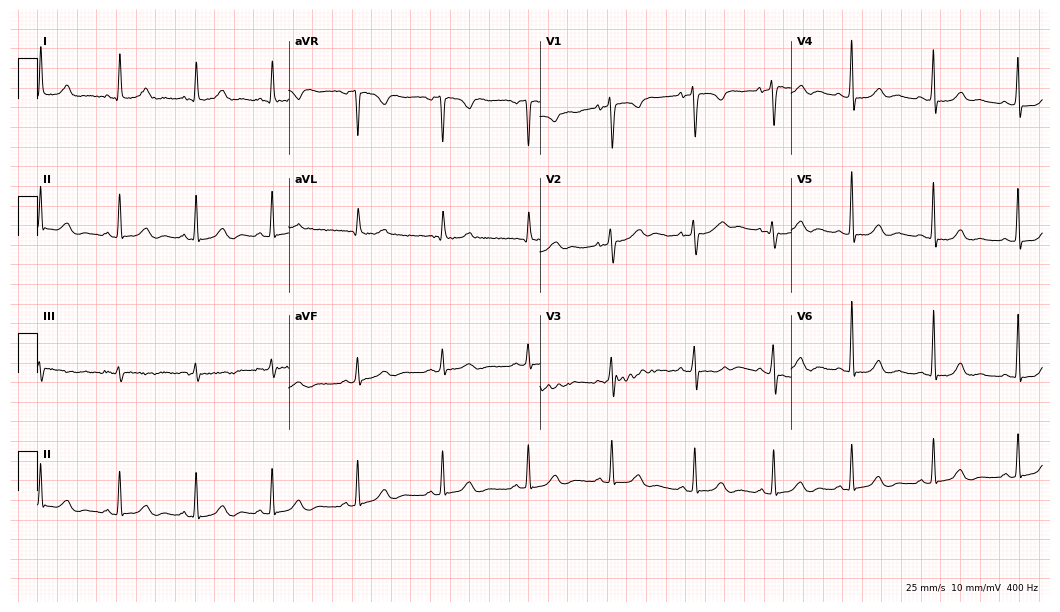
ECG (10.2-second recording at 400 Hz) — a woman, 50 years old. Labelled as a normal ECG.